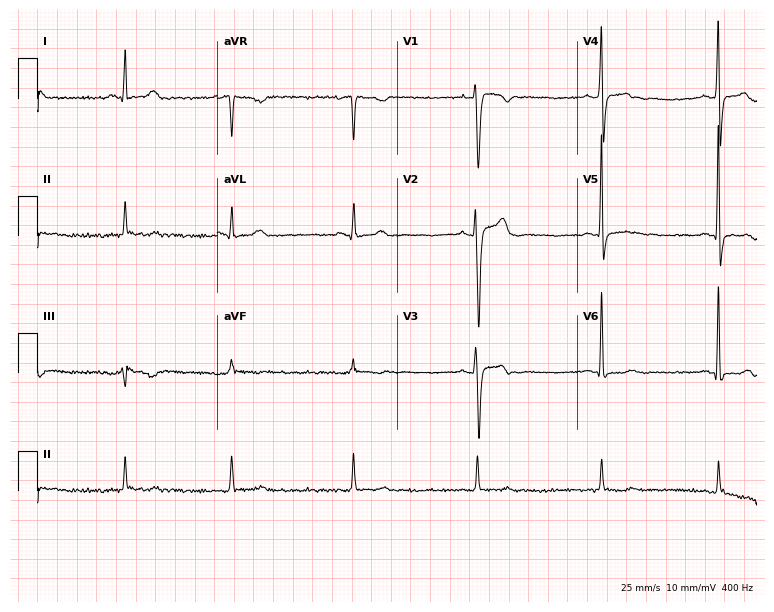
Resting 12-lead electrocardiogram (7.3-second recording at 400 Hz). Patient: a male, 29 years old. None of these six findings is recorded: first-degree AV block, right bundle branch block, left bundle branch block, sinus bradycardia, atrial fibrillation, sinus tachycardia.